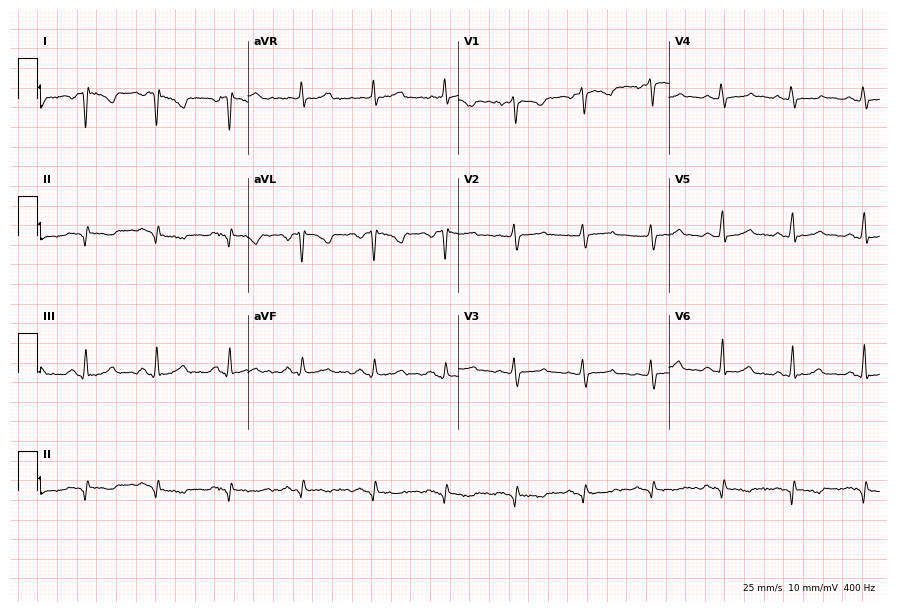
Electrocardiogram, a 38-year-old female. Overall reading on record: normal ECG.